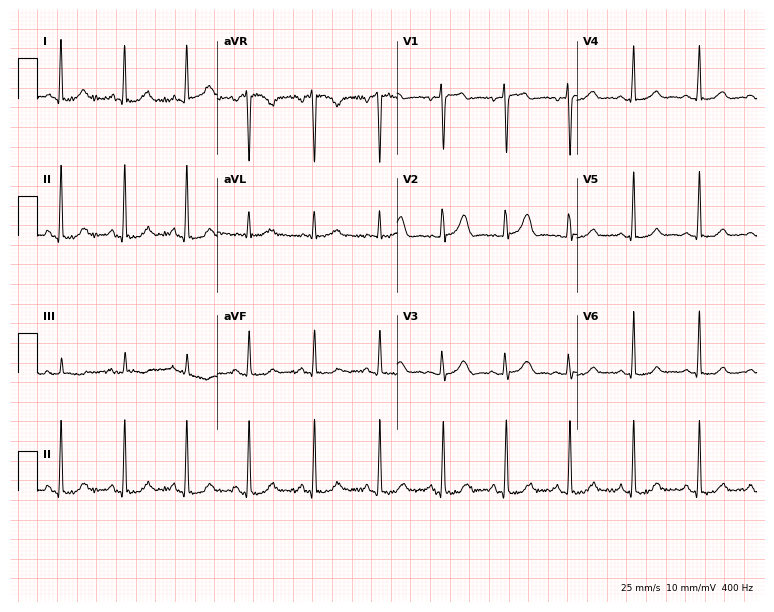
Resting 12-lead electrocardiogram (7.3-second recording at 400 Hz). Patient: a female, 57 years old. Read as a normal ECG.